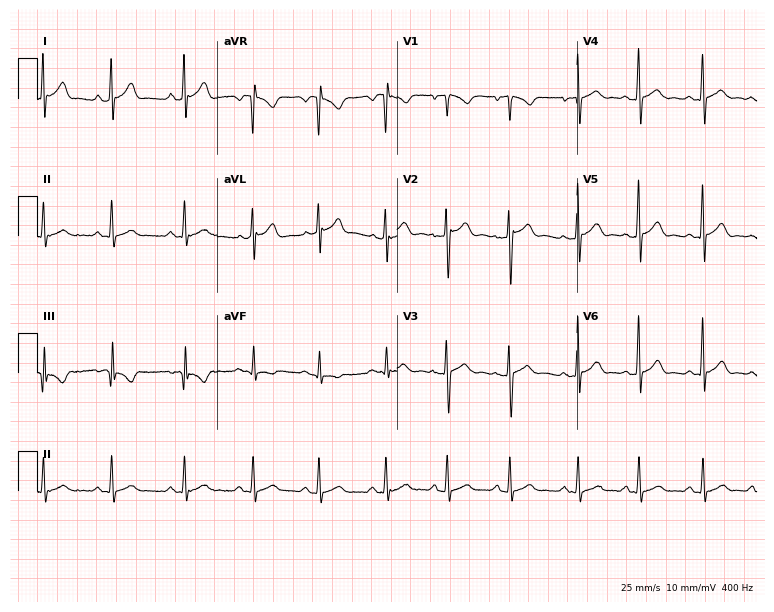
Standard 12-lead ECG recorded from a 21-year-old man (7.3-second recording at 400 Hz). None of these six findings is recorded: first-degree AV block, right bundle branch block, left bundle branch block, sinus bradycardia, atrial fibrillation, sinus tachycardia.